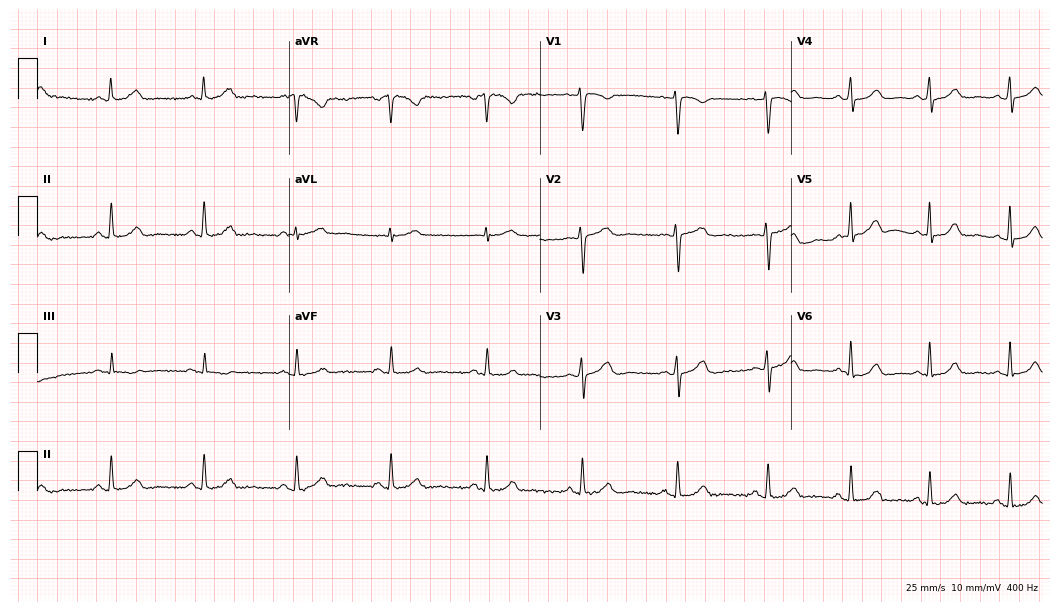
Electrocardiogram (10.2-second recording at 400 Hz), a 51-year-old woman. Overall reading on record: normal ECG.